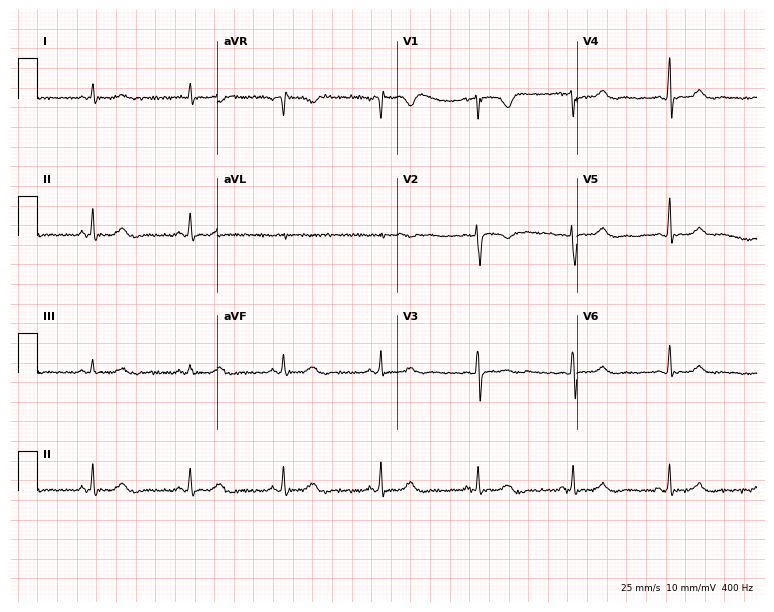
12-lead ECG from a female patient, 51 years old (7.3-second recording at 400 Hz). No first-degree AV block, right bundle branch block (RBBB), left bundle branch block (LBBB), sinus bradycardia, atrial fibrillation (AF) or sinus tachycardia recorded for this tracing.